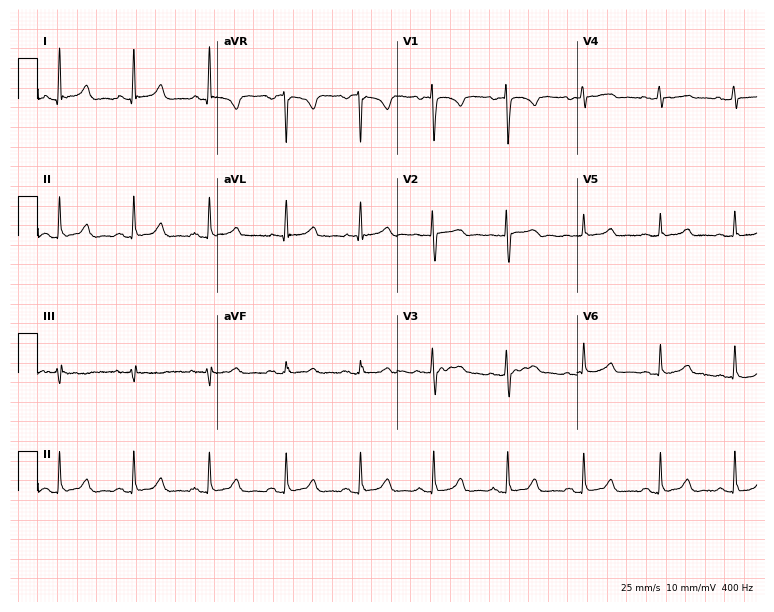
Standard 12-lead ECG recorded from a 34-year-old female. Read as a normal ECG.